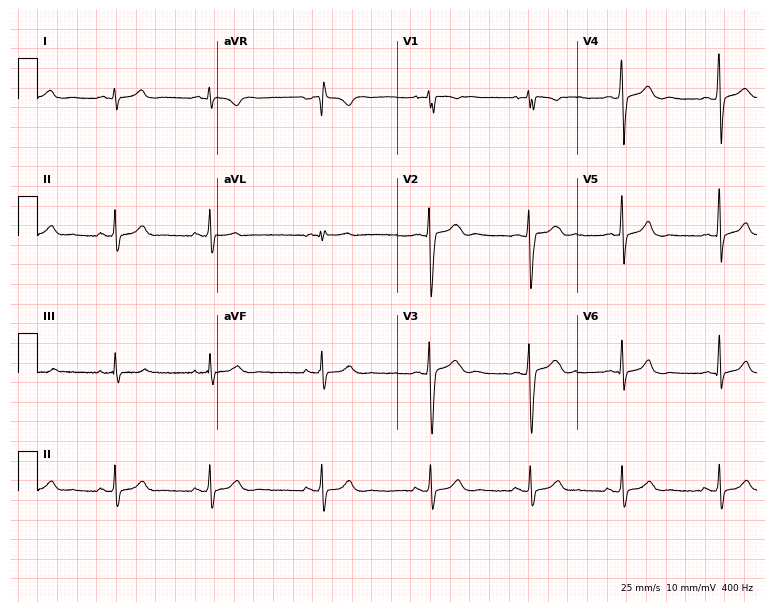
ECG (7.3-second recording at 400 Hz) — a man, 19 years old. Labelled as a normal ECG.